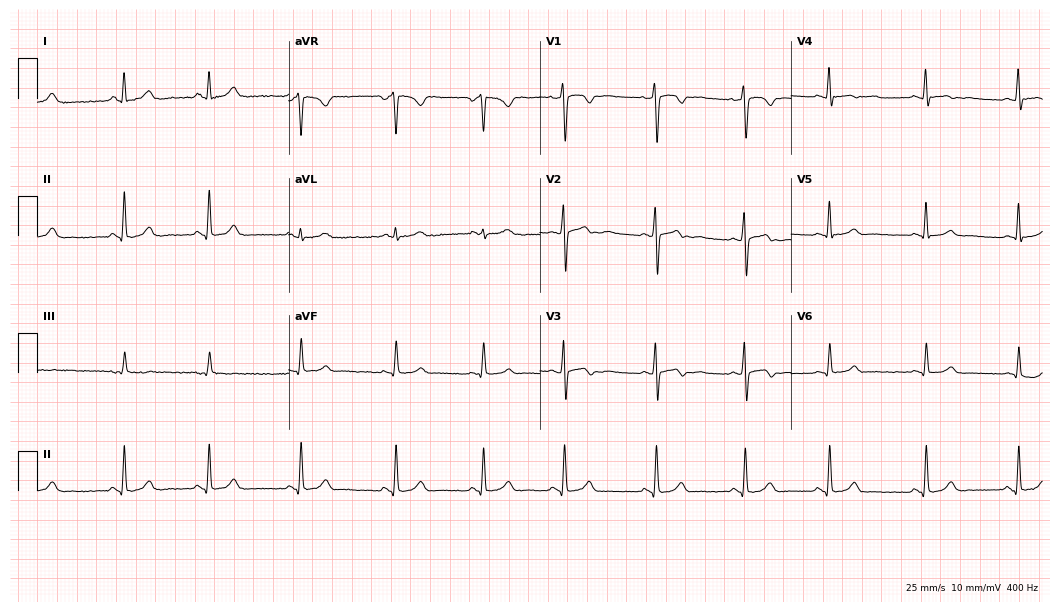
12-lead ECG from a female patient, 17 years old (10.2-second recording at 400 Hz). No first-degree AV block, right bundle branch block, left bundle branch block, sinus bradycardia, atrial fibrillation or sinus tachycardia recorded for this tracing. Other findings, if any, are not listed.